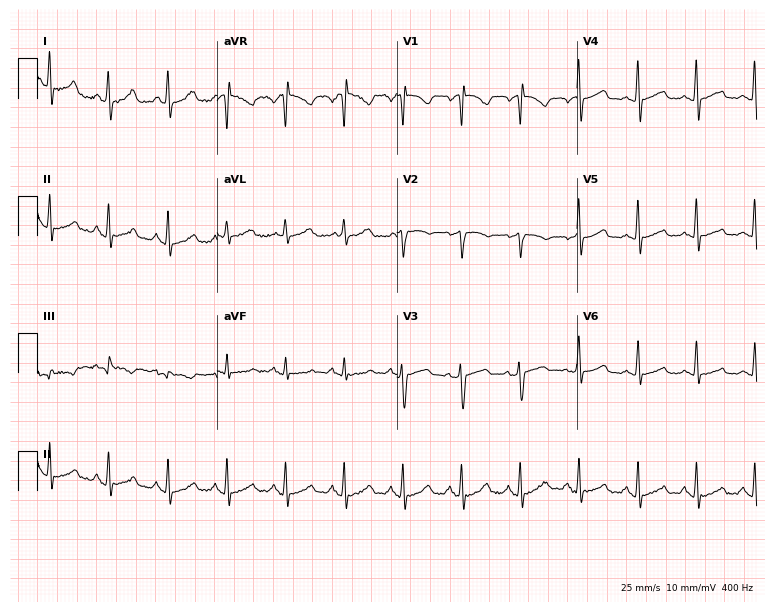
ECG (7.3-second recording at 400 Hz) — a female patient, 52 years old. Screened for six findings — first-degree AV block, right bundle branch block, left bundle branch block, sinus bradycardia, atrial fibrillation, sinus tachycardia — none is recorded. Other findings, if any, are not listed.